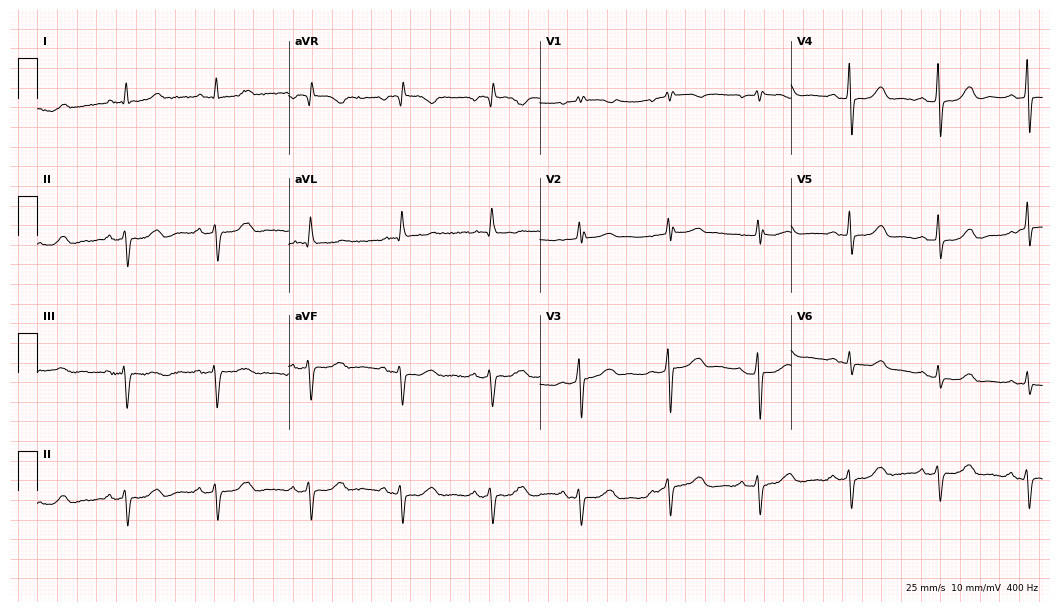
12-lead ECG (10.2-second recording at 400 Hz) from a 77-year-old female patient. Screened for six findings — first-degree AV block, right bundle branch block, left bundle branch block, sinus bradycardia, atrial fibrillation, sinus tachycardia — none is recorded.